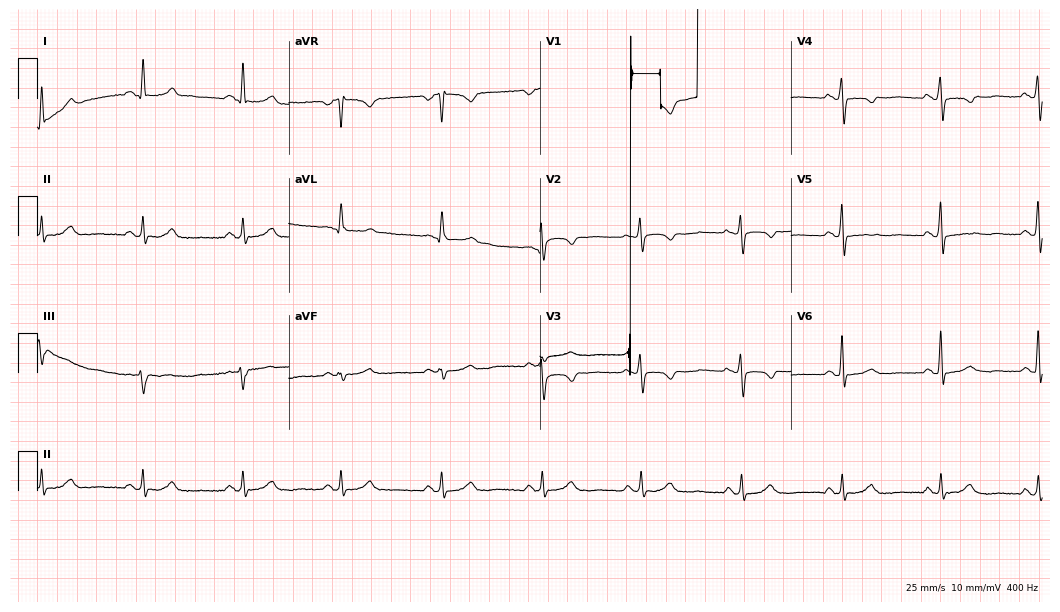
Standard 12-lead ECG recorded from a 63-year-old female (10.2-second recording at 400 Hz). None of these six findings is recorded: first-degree AV block, right bundle branch block (RBBB), left bundle branch block (LBBB), sinus bradycardia, atrial fibrillation (AF), sinus tachycardia.